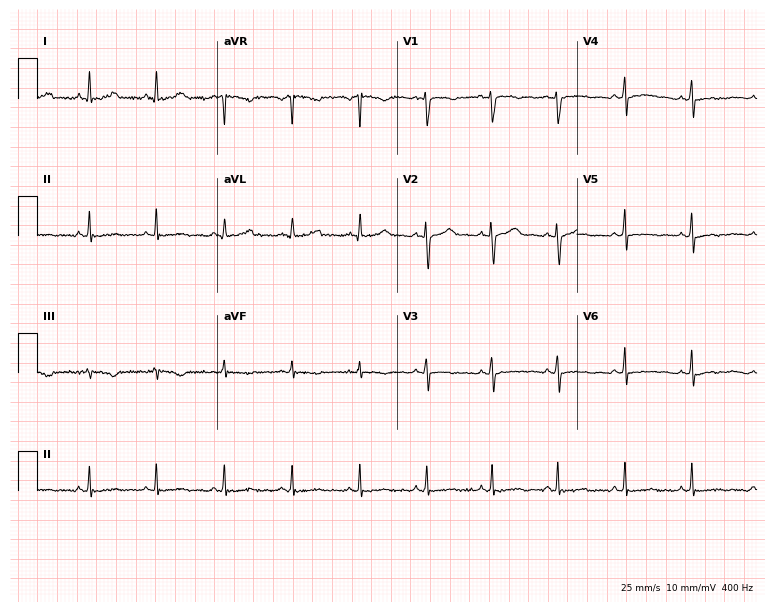
Standard 12-lead ECG recorded from a 44-year-old female. None of these six findings is recorded: first-degree AV block, right bundle branch block, left bundle branch block, sinus bradycardia, atrial fibrillation, sinus tachycardia. Other findings, if any, are not listed.